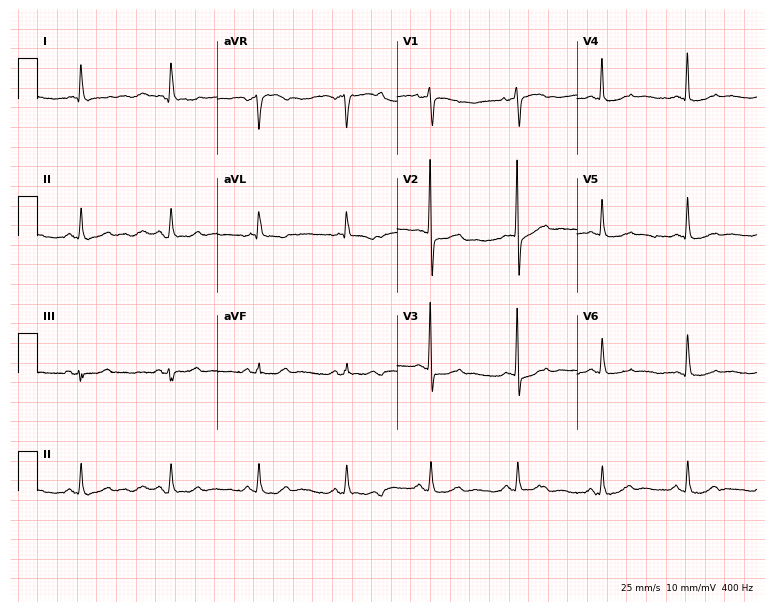
Standard 12-lead ECG recorded from a female, 66 years old. None of these six findings is recorded: first-degree AV block, right bundle branch block (RBBB), left bundle branch block (LBBB), sinus bradycardia, atrial fibrillation (AF), sinus tachycardia.